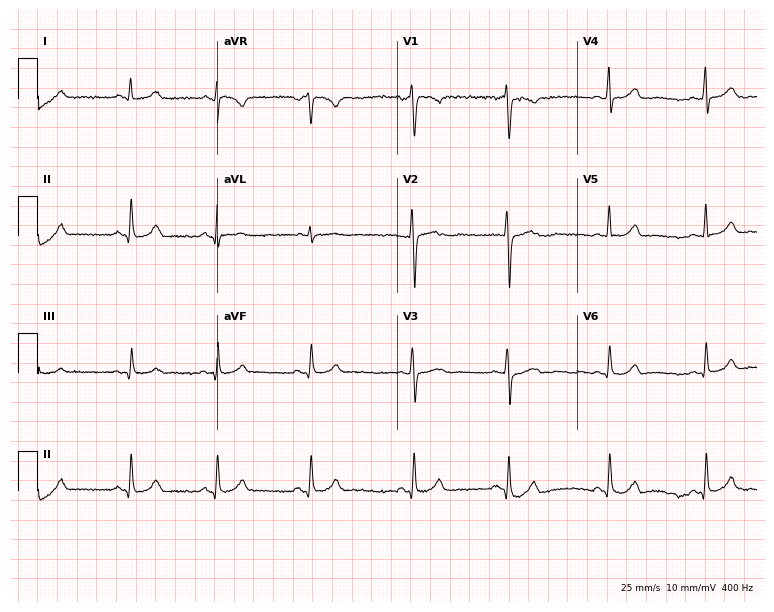
12-lead ECG (7.3-second recording at 400 Hz) from a female patient, 20 years old. Labelled as a normal ECG.